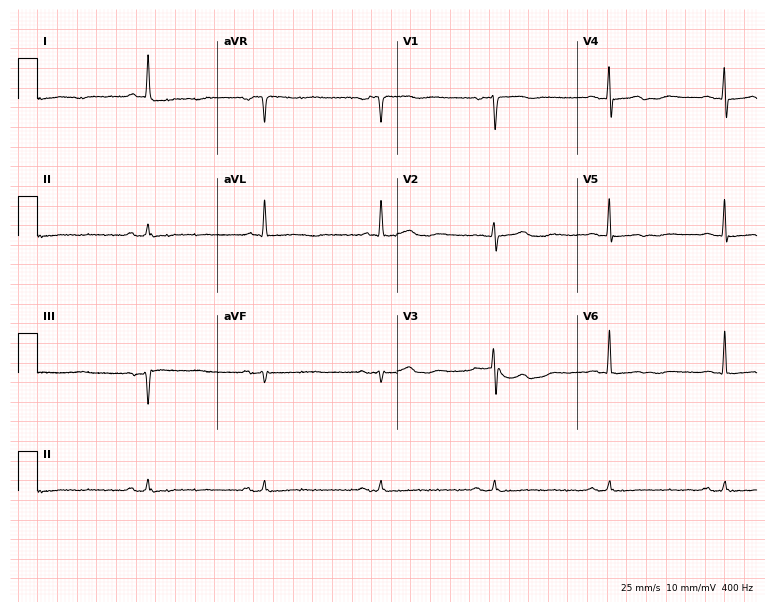
Standard 12-lead ECG recorded from an 81-year-old female patient. None of these six findings is recorded: first-degree AV block, right bundle branch block (RBBB), left bundle branch block (LBBB), sinus bradycardia, atrial fibrillation (AF), sinus tachycardia. Other findings, if any, are not listed.